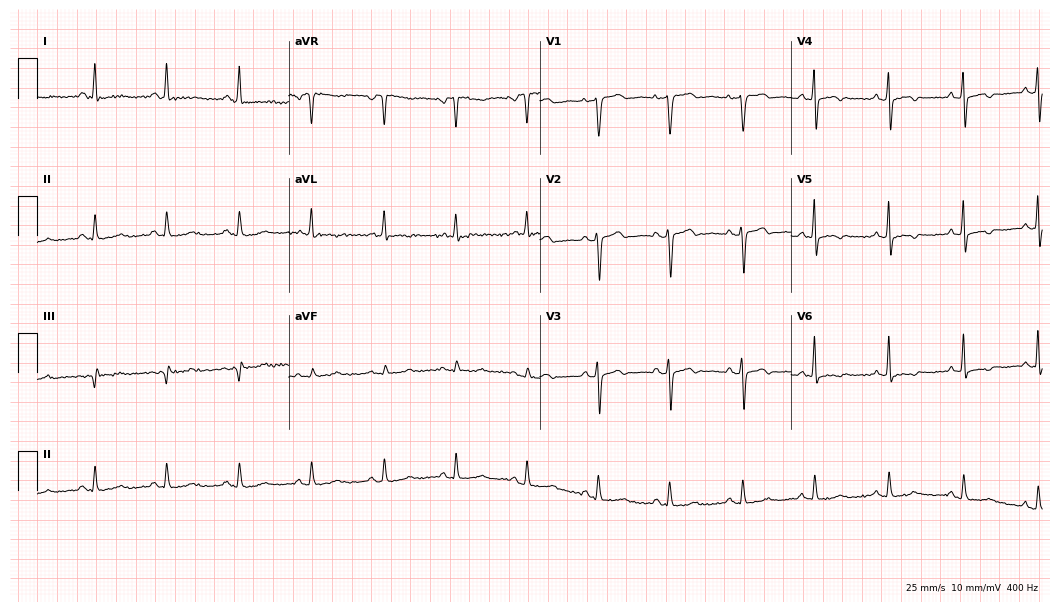
Resting 12-lead electrocardiogram. Patient: a 56-year-old woman. None of these six findings is recorded: first-degree AV block, right bundle branch block, left bundle branch block, sinus bradycardia, atrial fibrillation, sinus tachycardia. Only these six findings were labelled.